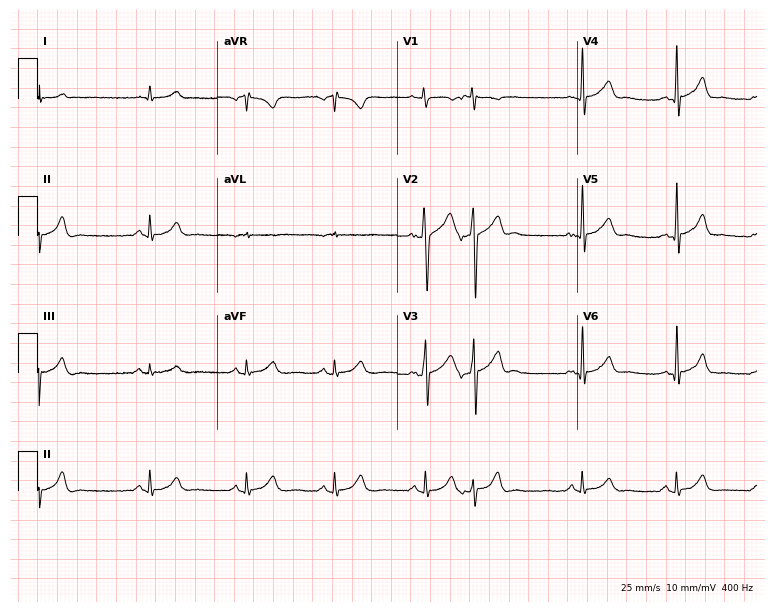
Resting 12-lead electrocardiogram. Patient: a 68-year-old man. Read as a normal ECG.